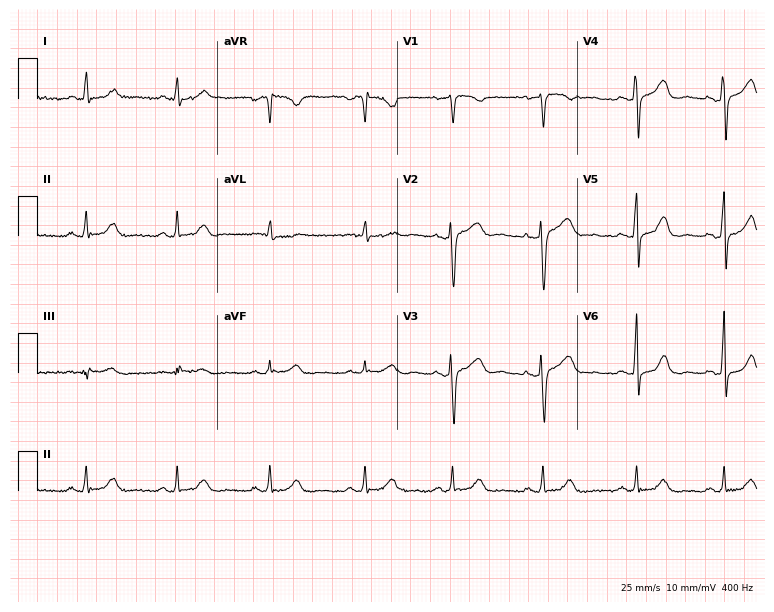
ECG (7.3-second recording at 400 Hz) — a woman, 52 years old. Screened for six findings — first-degree AV block, right bundle branch block (RBBB), left bundle branch block (LBBB), sinus bradycardia, atrial fibrillation (AF), sinus tachycardia — none is recorded. Only these six findings were labelled.